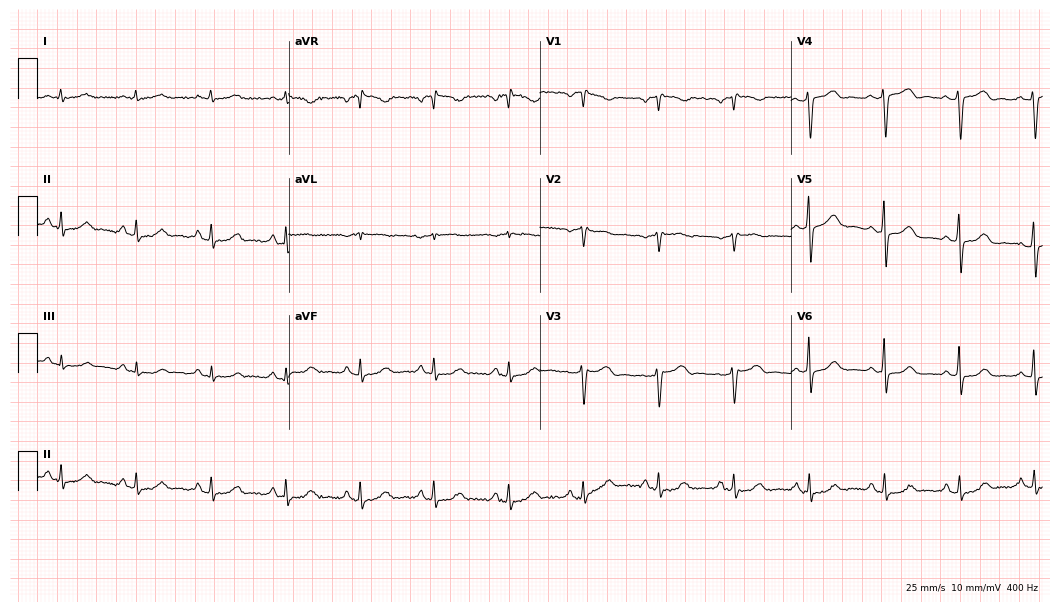
Standard 12-lead ECG recorded from a 64-year-old woman (10.2-second recording at 400 Hz). None of these six findings is recorded: first-degree AV block, right bundle branch block, left bundle branch block, sinus bradycardia, atrial fibrillation, sinus tachycardia. Other findings, if any, are not listed.